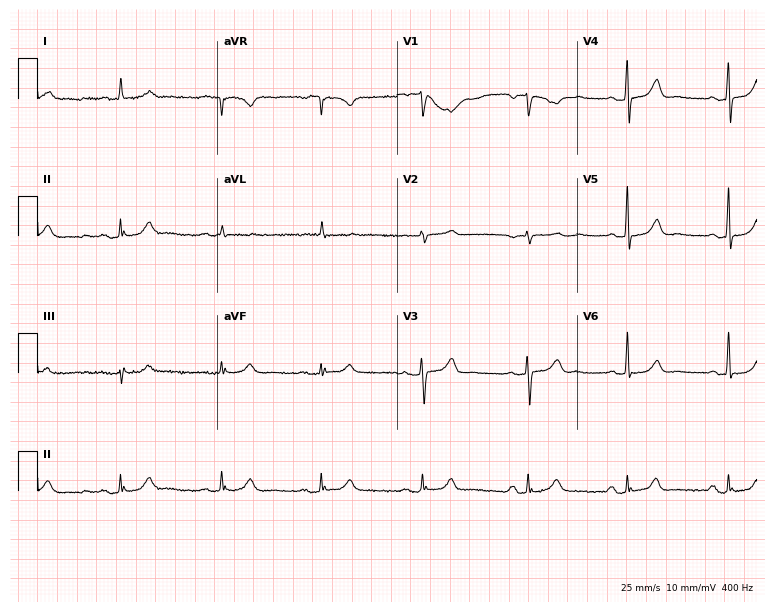
Resting 12-lead electrocardiogram (7.3-second recording at 400 Hz). Patient: a female, 71 years old. None of these six findings is recorded: first-degree AV block, right bundle branch block (RBBB), left bundle branch block (LBBB), sinus bradycardia, atrial fibrillation (AF), sinus tachycardia.